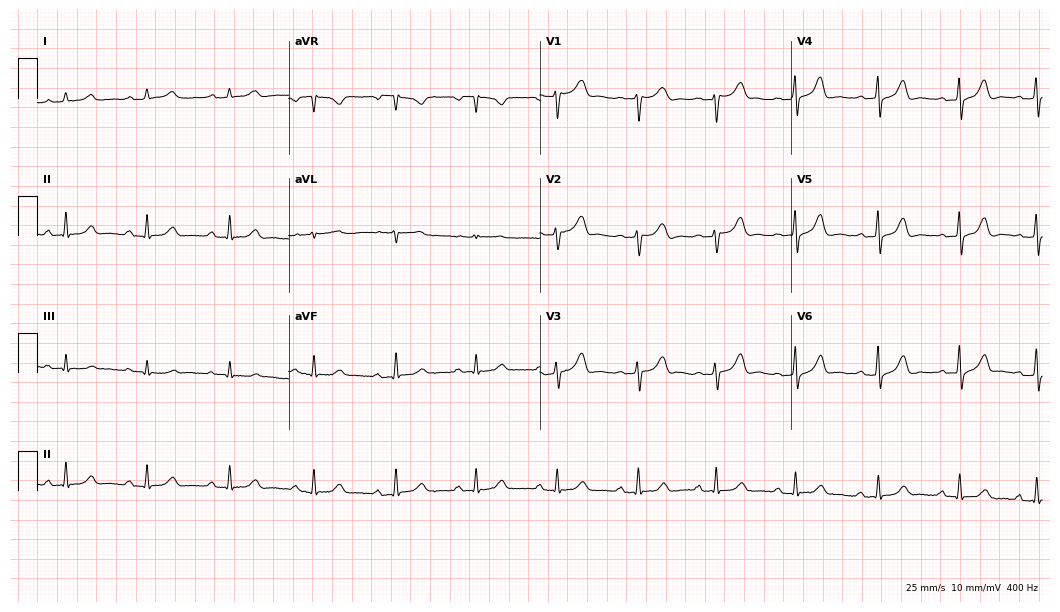
Electrocardiogram, a woman, 55 years old. Overall reading on record: normal ECG.